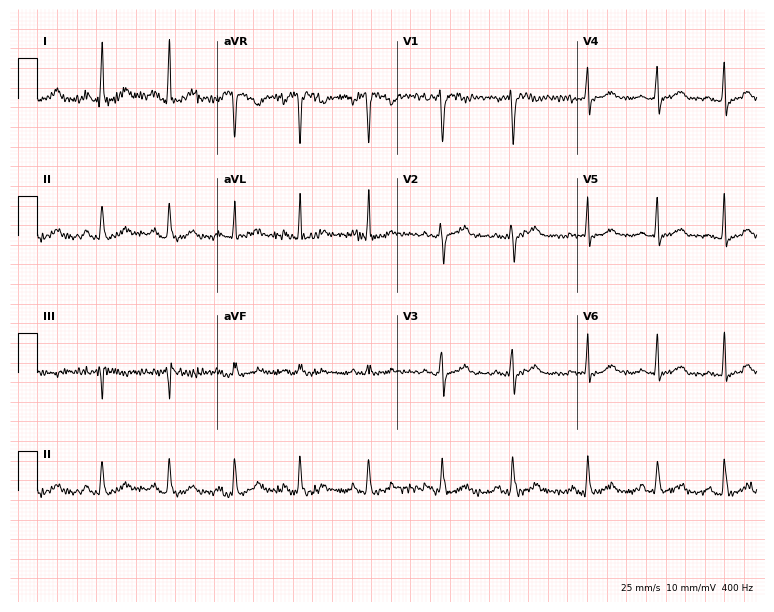
Electrocardiogram, a 37-year-old female patient. Overall reading on record: normal ECG.